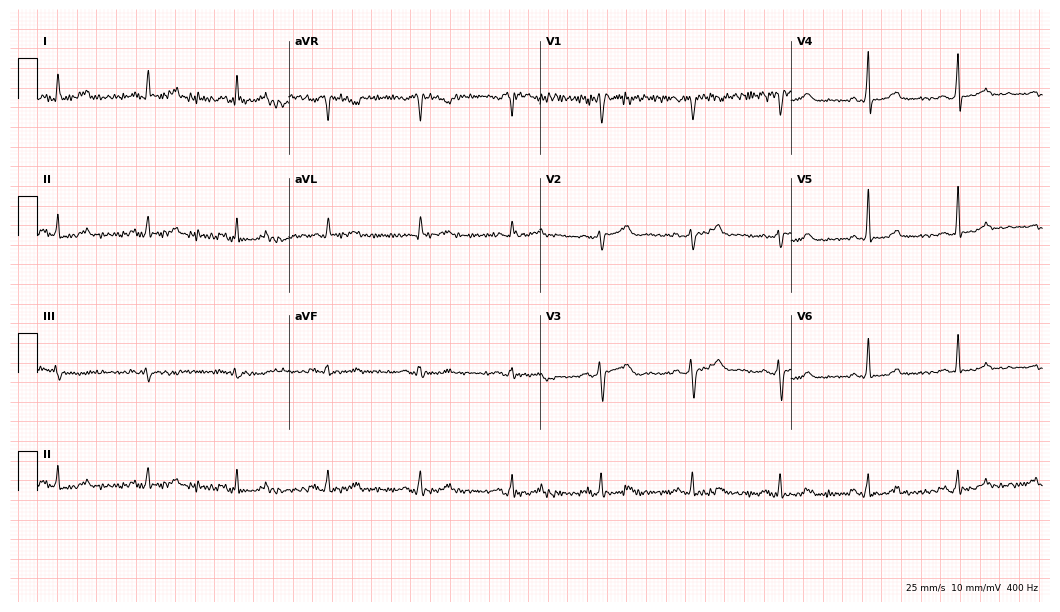
12-lead ECG (10.2-second recording at 400 Hz) from a woman, 36 years old. Screened for six findings — first-degree AV block, right bundle branch block, left bundle branch block, sinus bradycardia, atrial fibrillation, sinus tachycardia — none is recorded. Findings outside these six are not listed.